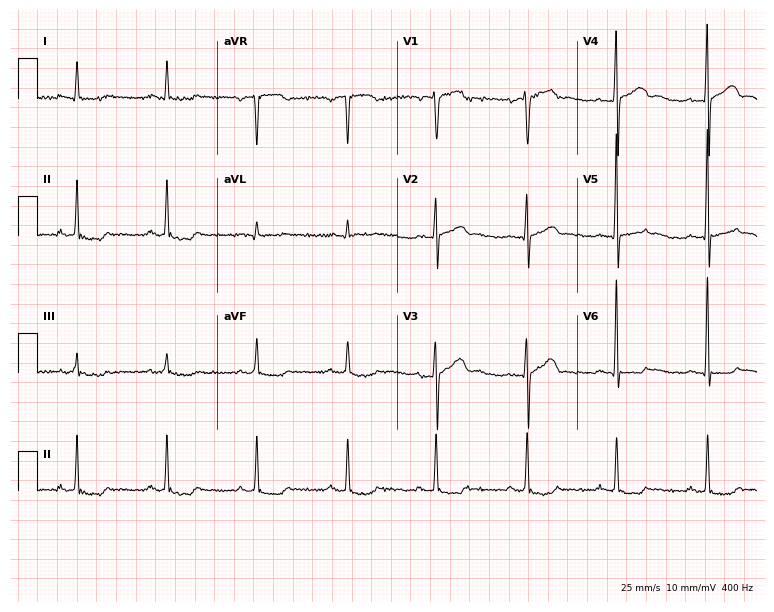
12-lead ECG from a male patient, 55 years old. No first-degree AV block, right bundle branch block, left bundle branch block, sinus bradycardia, atrial fibrillation or sinus tachycardia recorded for this tracing. Other findings, if any, are not listed.